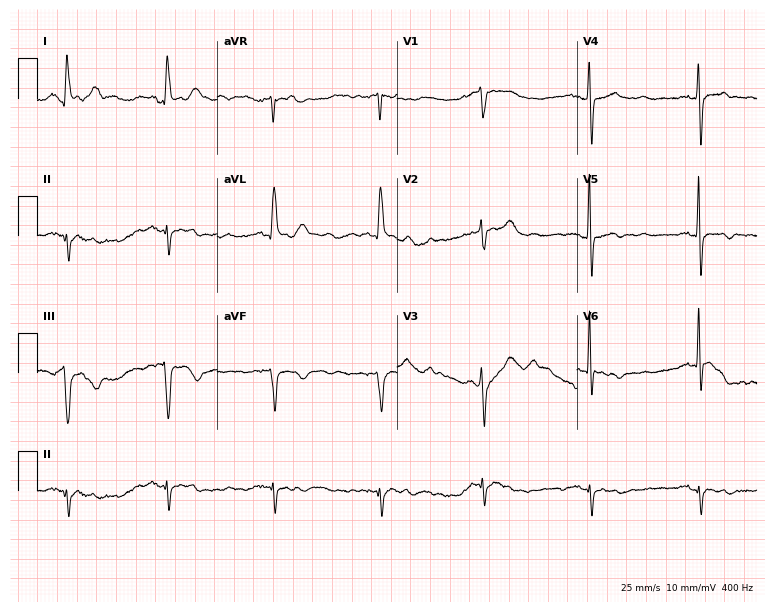
12-lead ECG from a female, 72 years old. No first-degree AV block, right bundle branch block, left bundle branch block, sinus bradycardia, atrial fibrillation or sinus tachycardia recorded for this tracing.